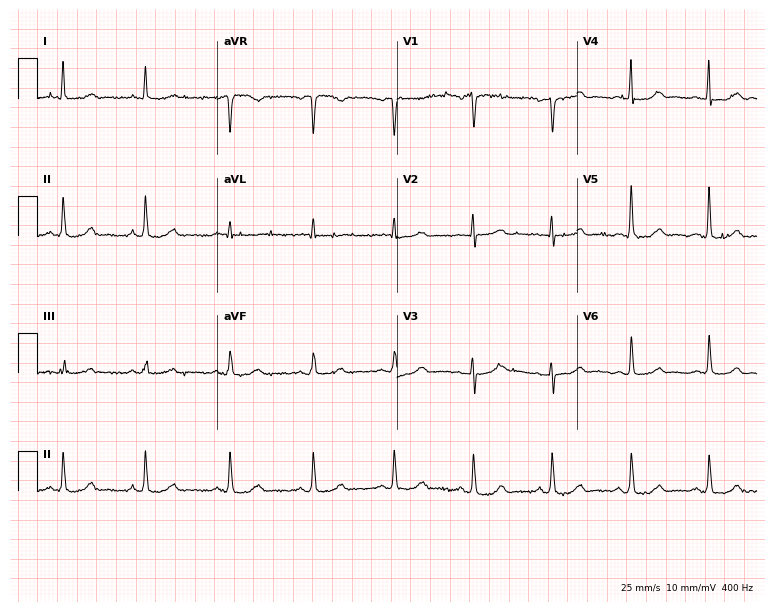
Resting 12-lead electrocardiogram (7.3-second recording at 400 Hz). Patient: a 71-year-old woman. None of these six findings is recorded: first-degree AV block, right bundle branch block, left bundle branch block, sinus bradycardia, atrial fibrillation, sinus tachycardia. Other findings, if any, are not listed.